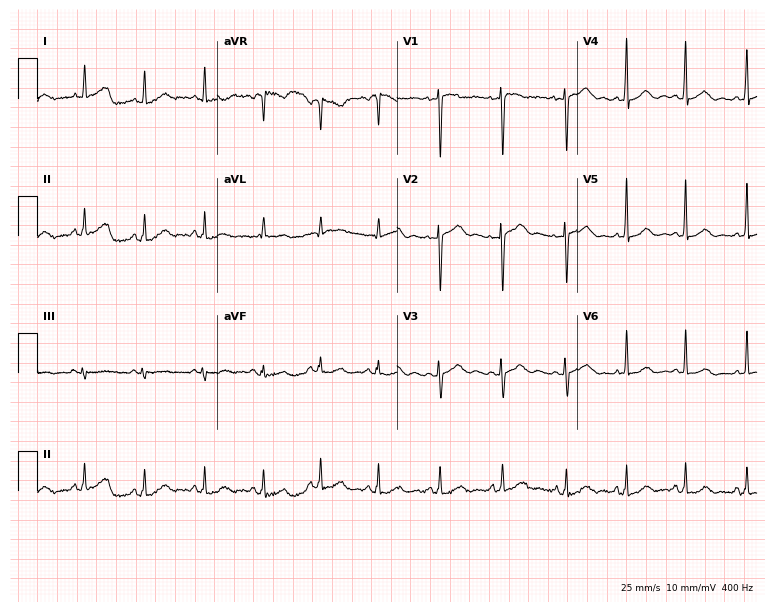
12-lead ECG from a 43-year-old woman. Screened for six findings — first-degree AV block, right bundle branch block (RBBB), left bundle branch block (LBBB), sinus bradycardia, atrial fibrillation (AF), sinus tachycardia — none is recorded. Only these six findings were labelled.